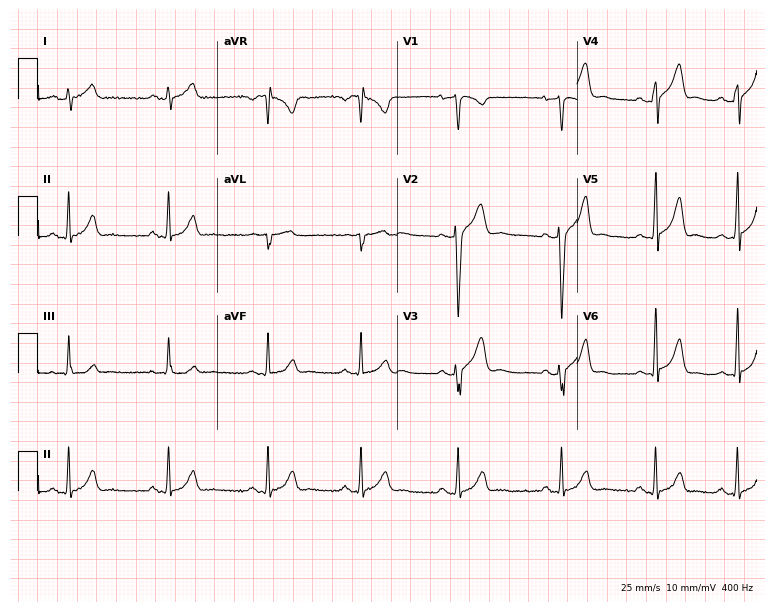
ECG — a male patient, 26 years old. Screened for six findings — first-degree AV block, right bundle branch block, left bundle branch block, sinus bradycardia, atrial fibrillation, sinus tachycardia — none is recorded. Findings outside these six are not listed.